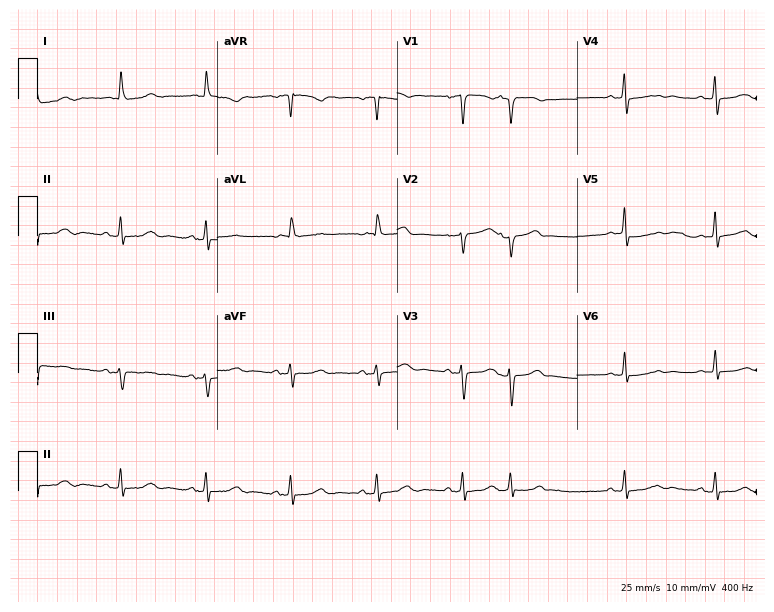
Electrocardiogram (7.3-second recording at 400 Hz), a 79-year-old female patient. Of the six screened findings (first-degree AV block, right bundle branch block, left bundle branch block, sinus bradycardia, atrial fibrillation, sinus tachycardia), none is recorded.